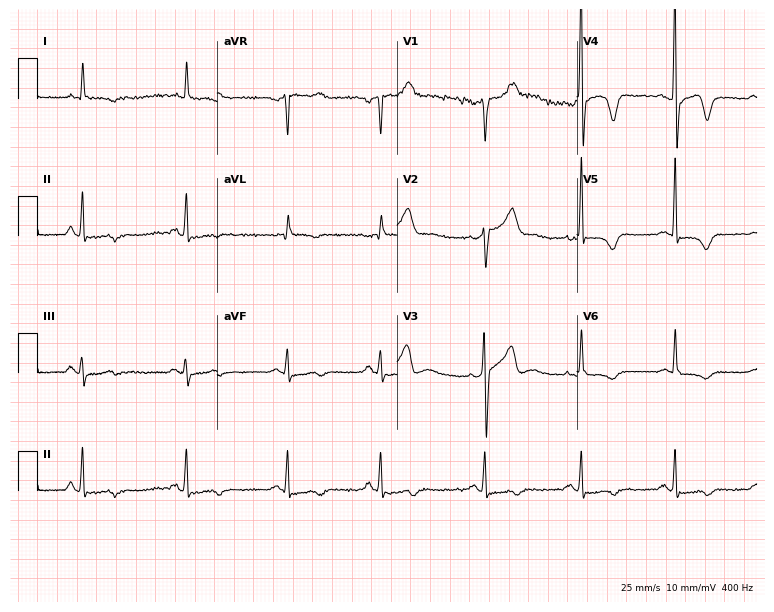
Standard 12-lead ECG recorded from a male patient, 71 years old. None of these six findings is recorded: first-degree AV block, right bundle branch block, left bundle branch block, sinus bradycardia, atrial fibrillation, sinus tachycardia.